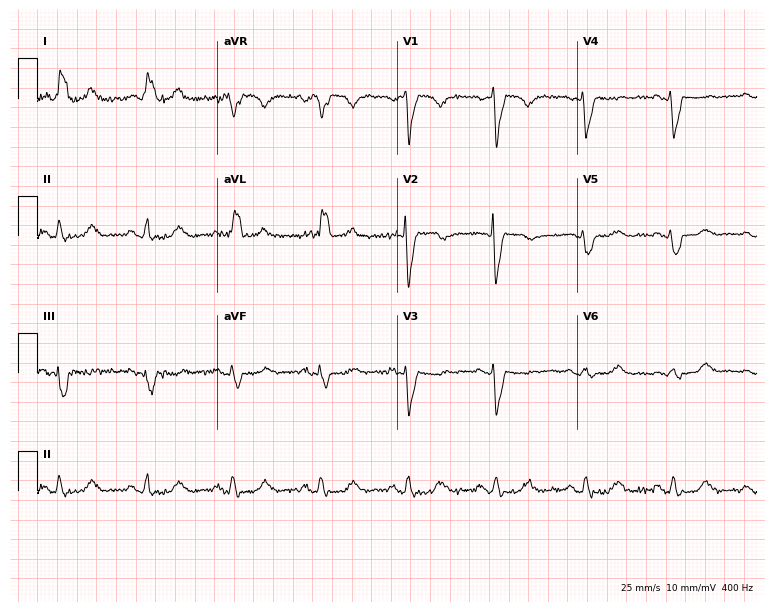
Electrocardiogram, a female, 71 years old. Of the six screened findings (first-degree AV block, right bundle branch block, left bundle branch block, sinus bradycardia, atrial fibrillation, sinus tachycardia), none is recorded. Other findings, if any, are not listed.